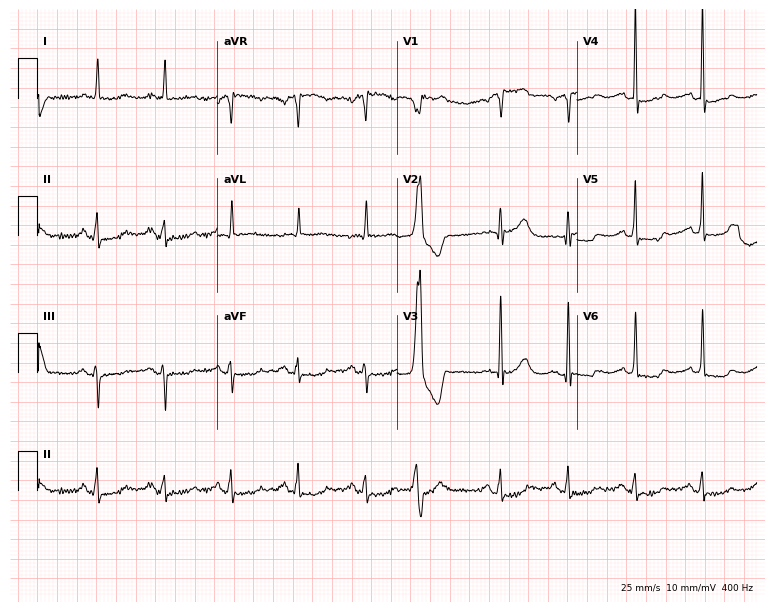
Resting 12-lead electrocardiogram. Patient: a male, 82 years old. Read as a normal ECG.